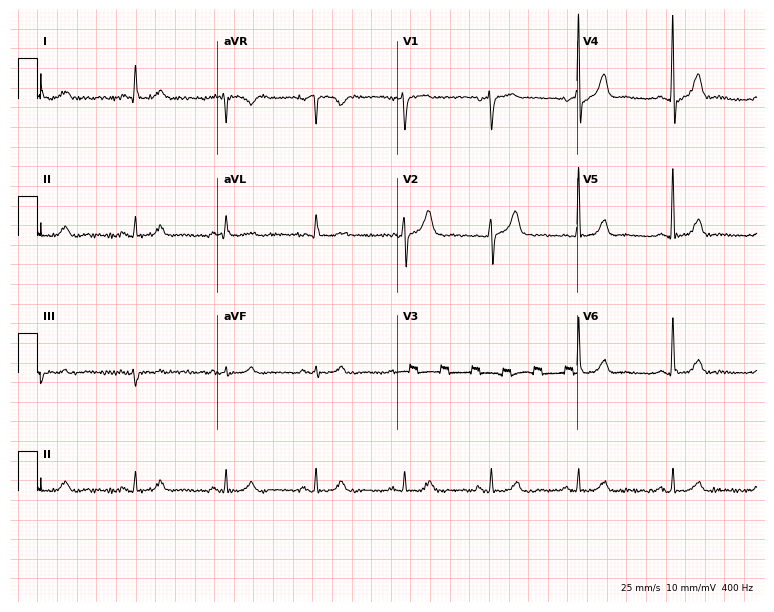
Resting 12-lead electrocardiogram. Patient: a male, 72 years old. Read as a normal ECG.